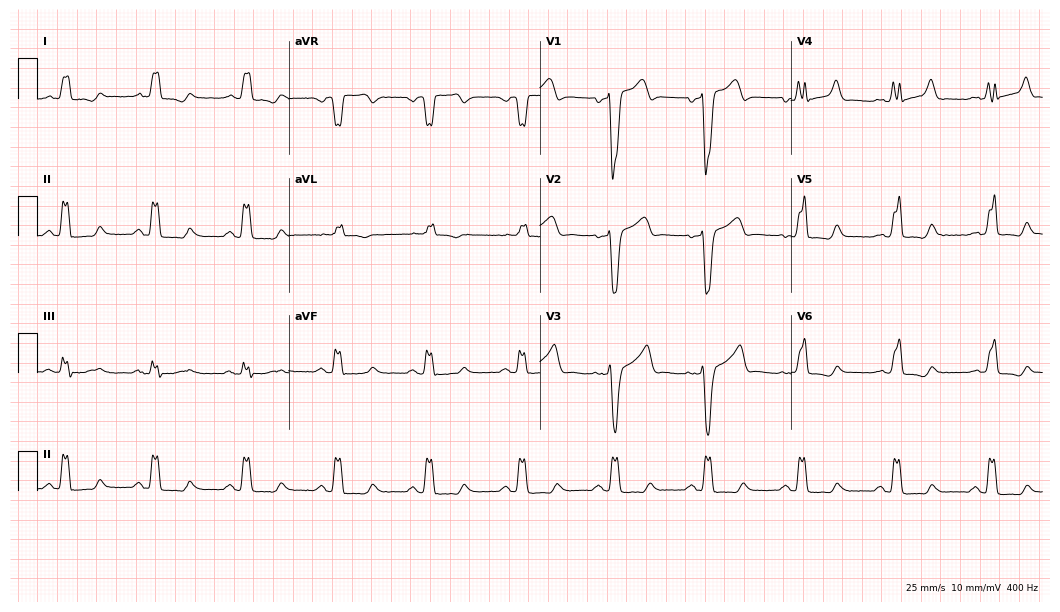
Resting 12-lead electrocardiogram (10.2-second recording at 400 Hz). Patient: a 71-year-old man. The tracing shows left bundle branch block.